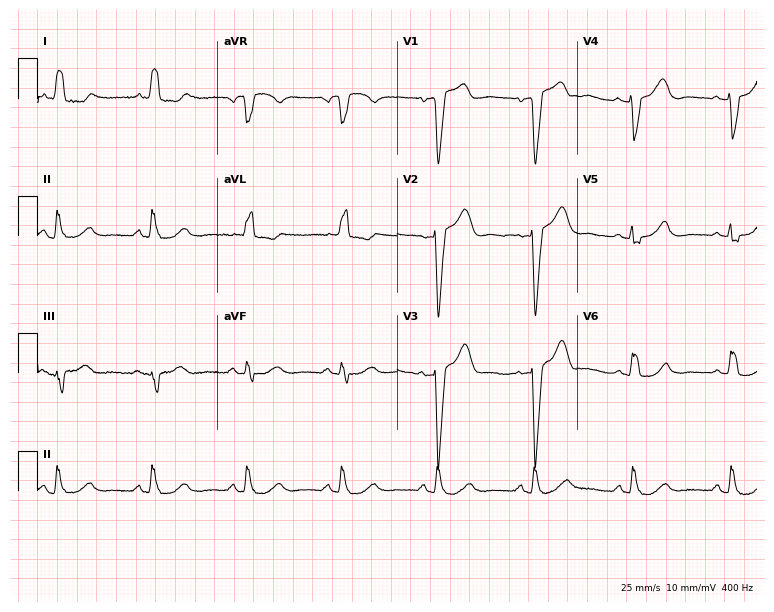
Resting 12-lead electrocardiogram (7.3-second recording at 400 Hz). Patient: a 77-year-old woman. The tracing shows left bundle branch block (LBBB).